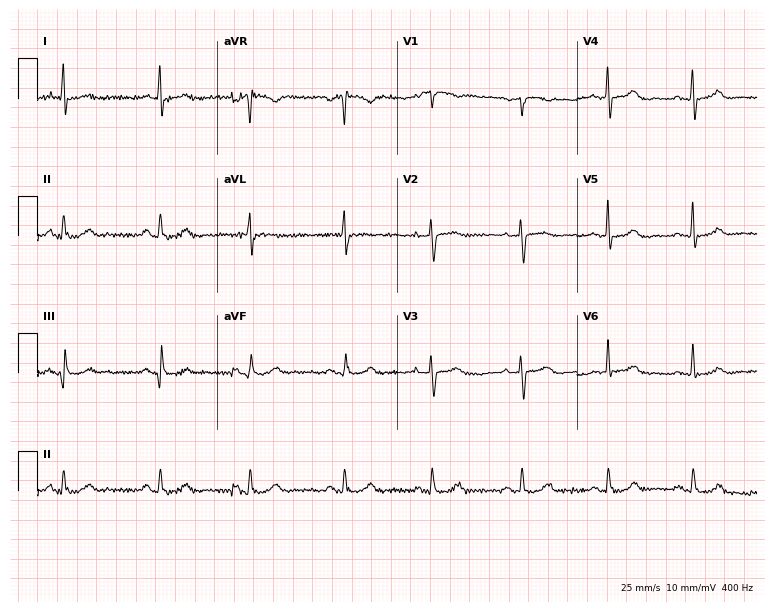
ECG — a 64-year-old female patient. Labelled as a normal ECG.